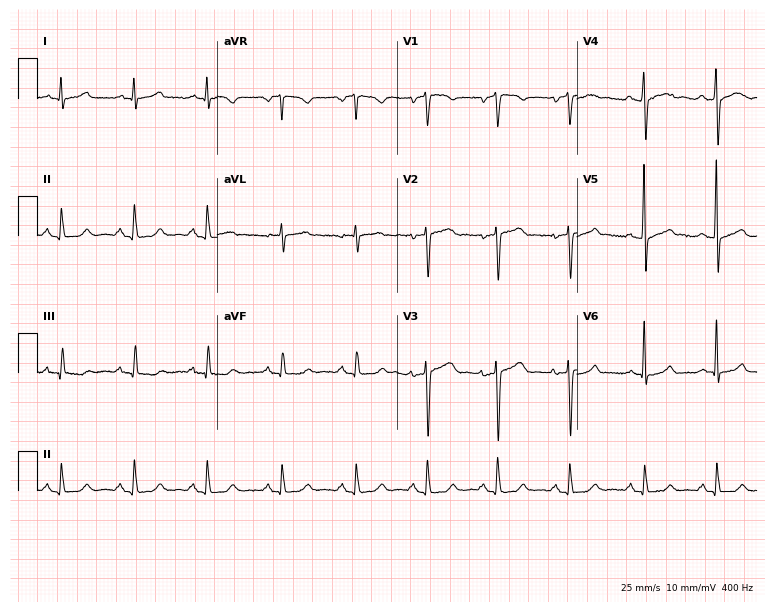
12-lead ECG from a 63-year-old male patient. Recorded interpretation: within normal limits.